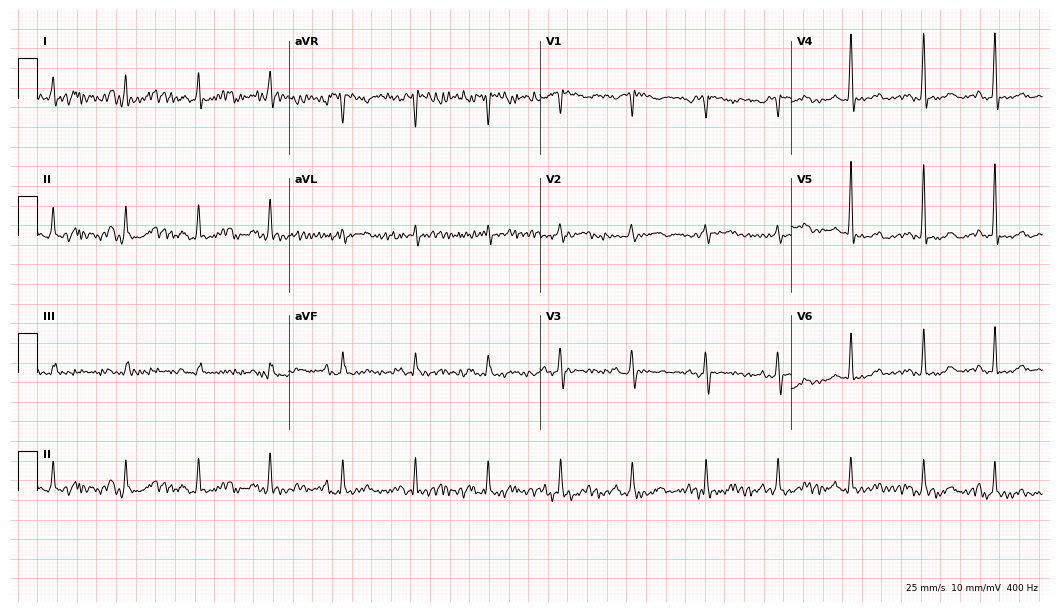
Electrocardiogram, a woman, 78 years old. Of the six screened findings (first-degree AV block, right bundle branch block (RBBB), left bundle branch block (LBBB), sinus bradycardia, atrial fibrillation (AF), sinus tachycardia), none is recorded. Findings outside these six are not listed.